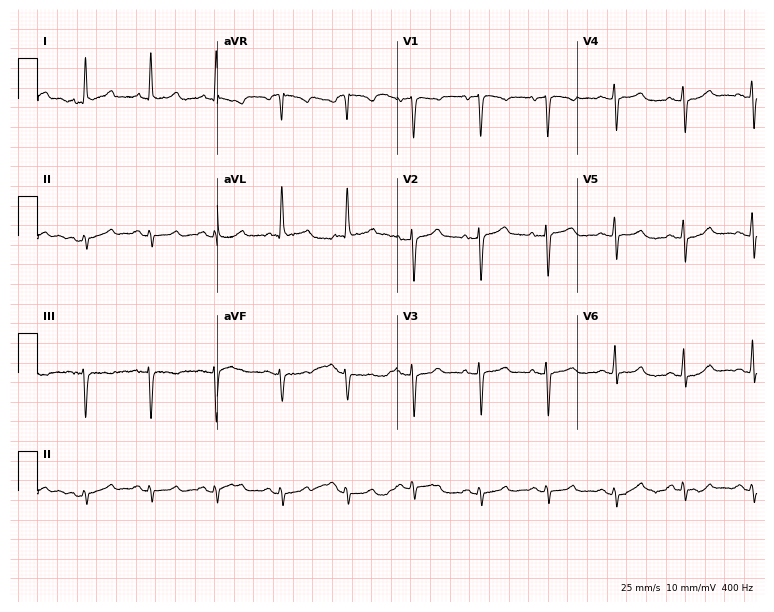
ECG — a male, 84 years old. Screened for six findings — first-degree AV block, right bundle branch block (RBBB), left bundle branch block (LBBB), sinus bradycardia, atrial fibrillation (AF), sinus tachycardia — none is recorded. Only these six findings were labelled.